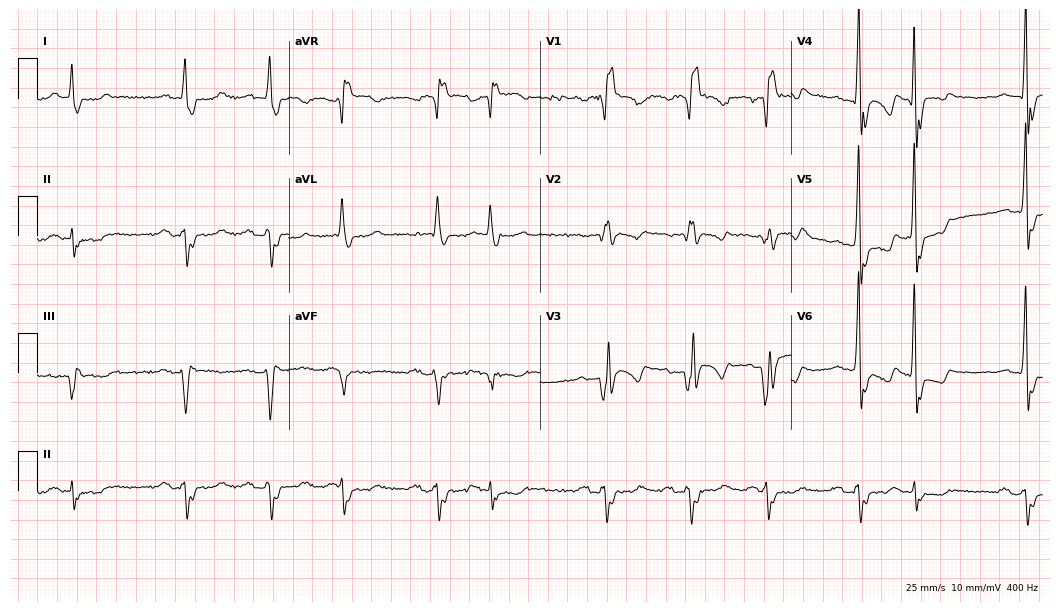
12-lead ECG from a 72-year-old man. Shows right bundle branch block (RBBB), atrial fibrillation (AF).